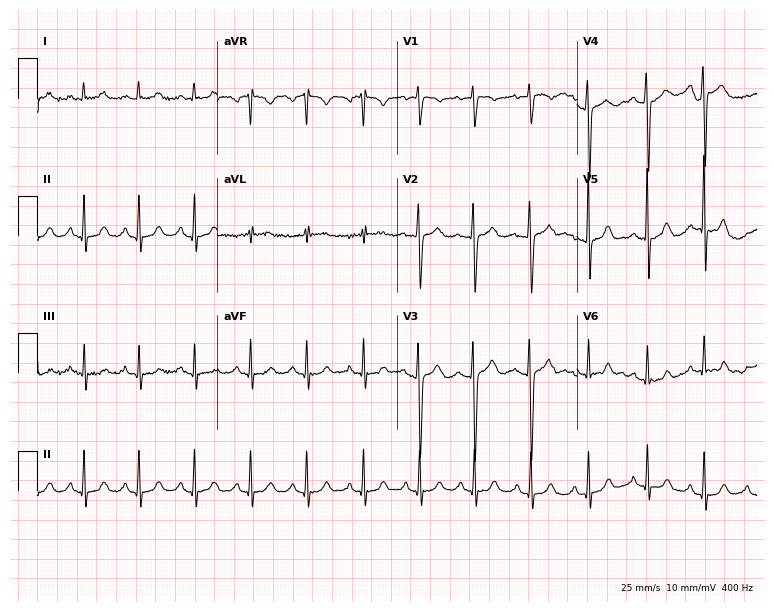
12-lead ECG from a woman, 17 years old. Shows sinus tachycardia (a sinus rate of 100 beats per minute or more).